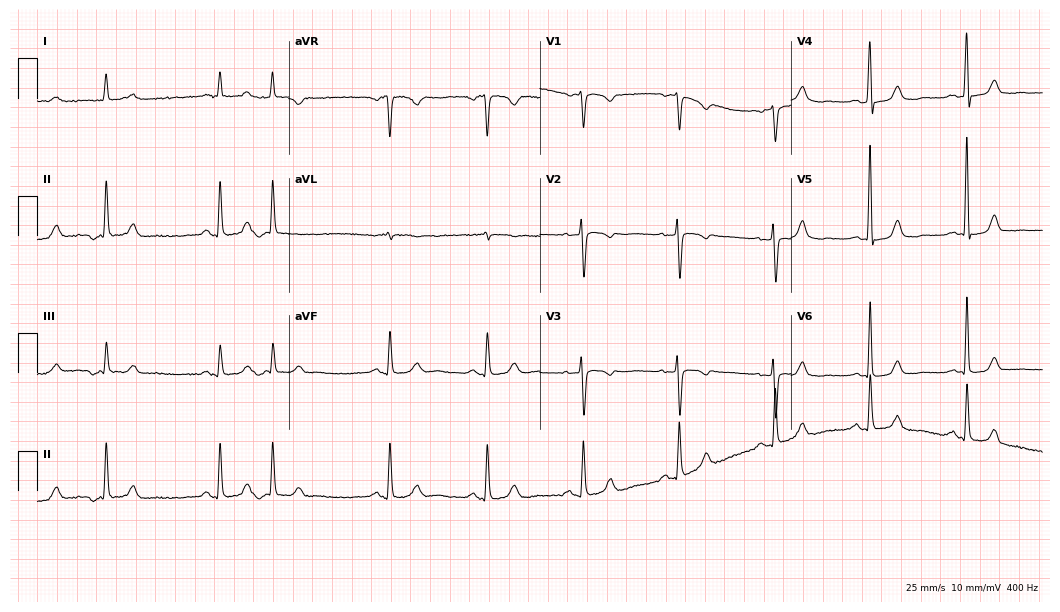
Electrocardiogram (10.2-second recording at 400 Hz), a 75-year-old female. Of the six screened findings (first-degree AV block, right bundle branch block, left bundle branch block, sinus bradycardia, atrial fibrillation, sinus tachycardia), none is recorded. Findings outside these six are not listed.